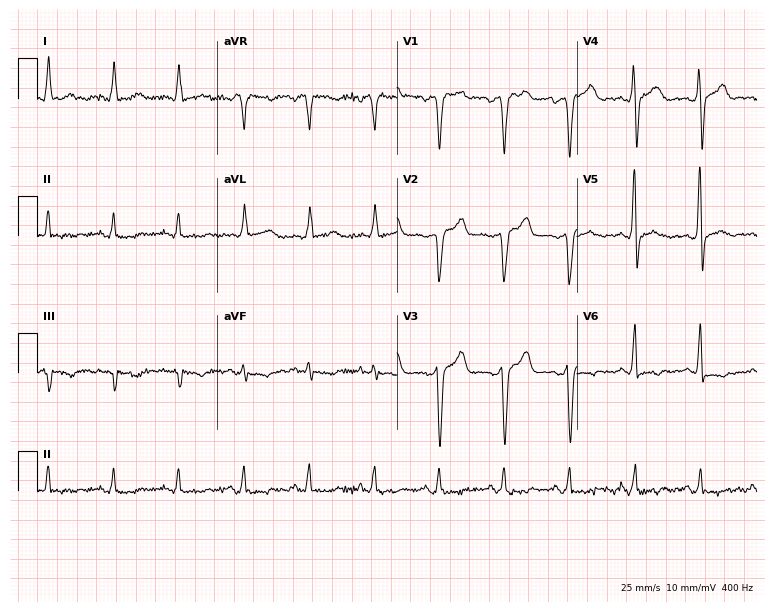
ECG — a male, 71 years old. Screened for six findings — first-degree AV block, right bundle branch block (RBBB), left bundle branch block (LBBB), sinus bradycardia, atrial fibrillation (AF), sinus tachycardia — none is recorded.